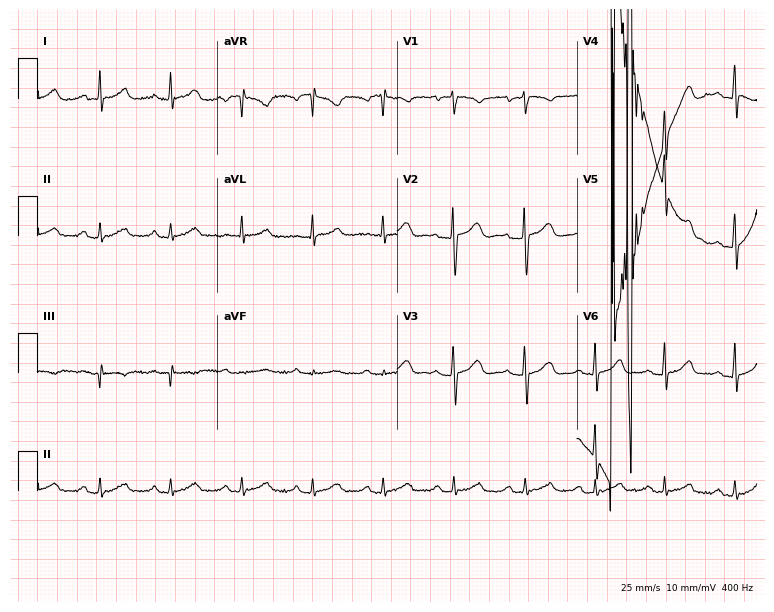
12-lead ECG (7.3-second recording at 400 Hz) from a female, 39 years old. Screened for six findings — first-degree AV block, right bundle branch block, left bundle branch block, sinus bradycardia, atrial fibrillation, sinus tachycardia — none is recorded.